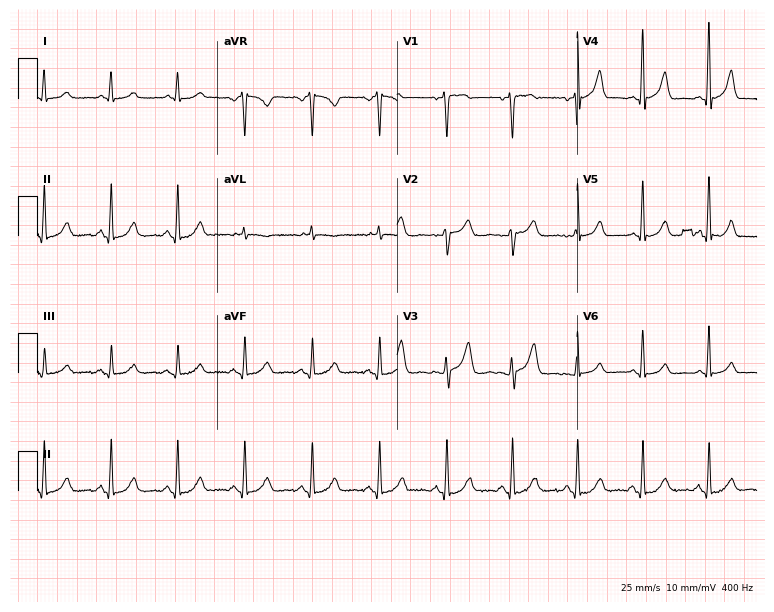
ECG — a woman, 55 years old. Labelled as a normal ECG.